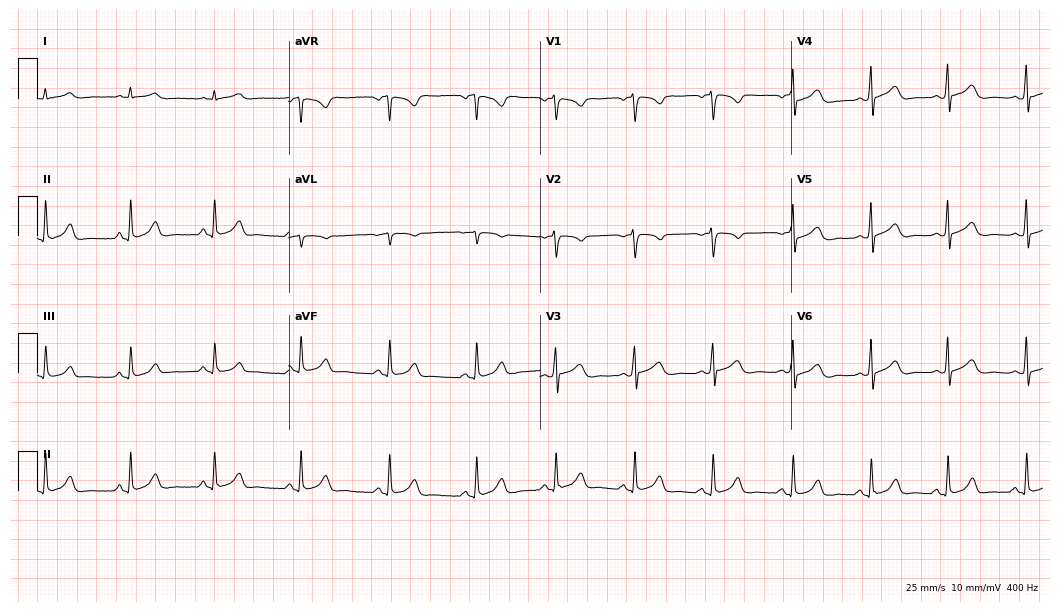
Electrocardiogram (10.2-second recording at 400 Hz), a 36-year-old female patient. Of the six screened findings (first-degree AV block, right bundle branch block, left bundle branch block, sinus bradycardia, atrial fibrillation, sinus tachycardia), none is recorded. Only these six findings were labelled.